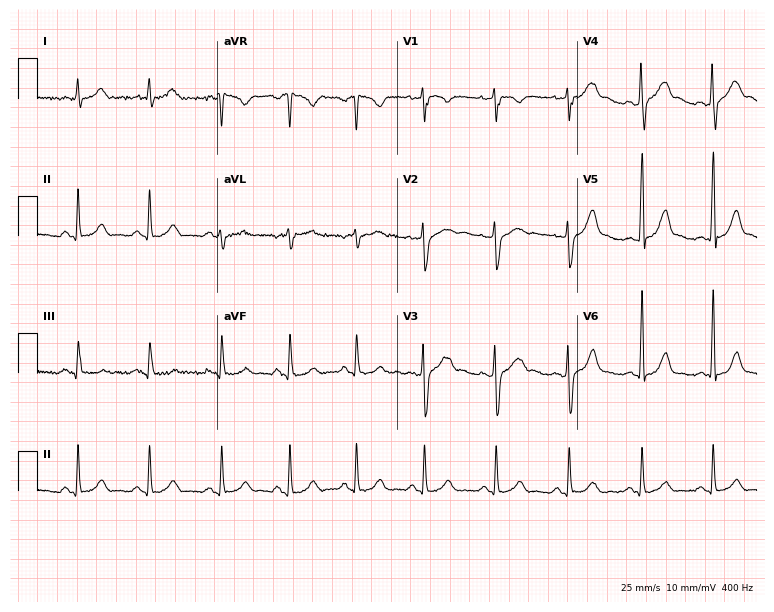
Electrocardiogram (7.3-second recording at 400 Hz), a 31-year-old male. Overall reading on record: normal ECG.